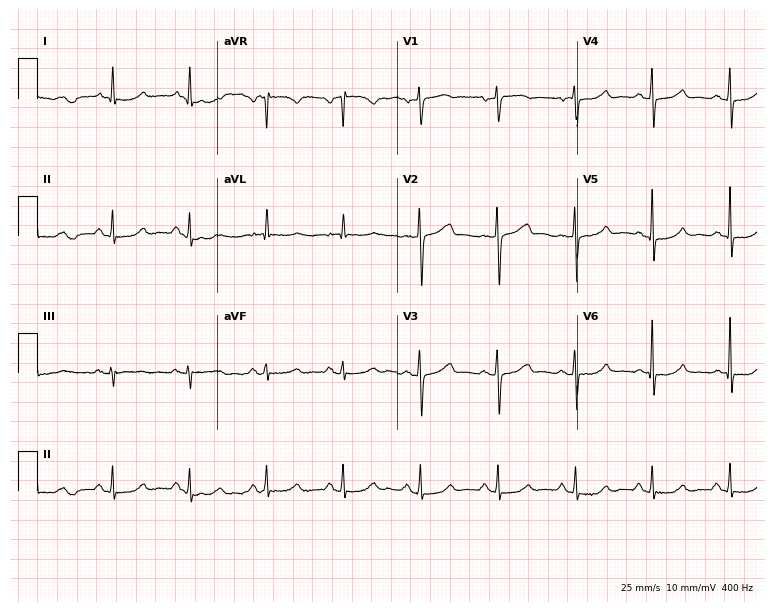
12-lead ECG from a 69-year-old woman (7.3-second recording at 400 Hz). Recorded interpretation: within normal limits.